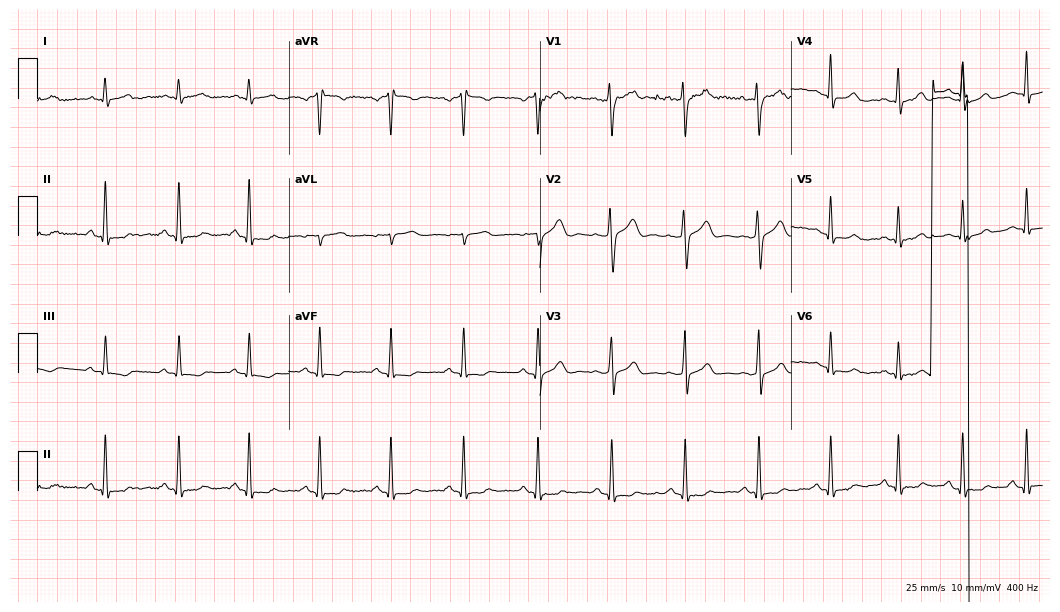
ECG — a 22-year-old male. Screened for six findings — first-degree AV block, right bundle branch block (RBBB), left bundle branch block (LBBB), sinus bradycardia, atrial fibrillation (AF), sinus tachycardia — none is recorded.